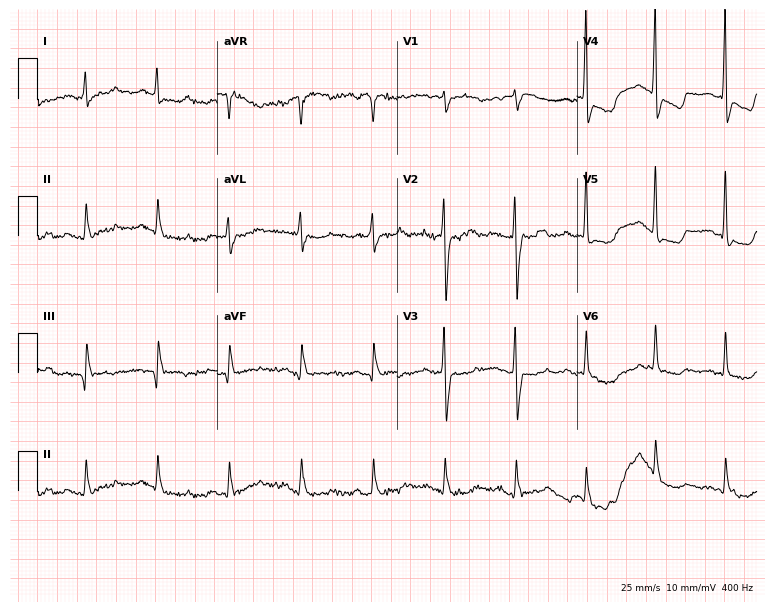
12-lead ECG from a man, 82 years old. No first-degree AV block, right bundle branch block (RBBB), left bundle branch block (LBBB), sinus bradycardia, atrial fibrillation (AF) or sinus tachycardia recorded for this tracing.